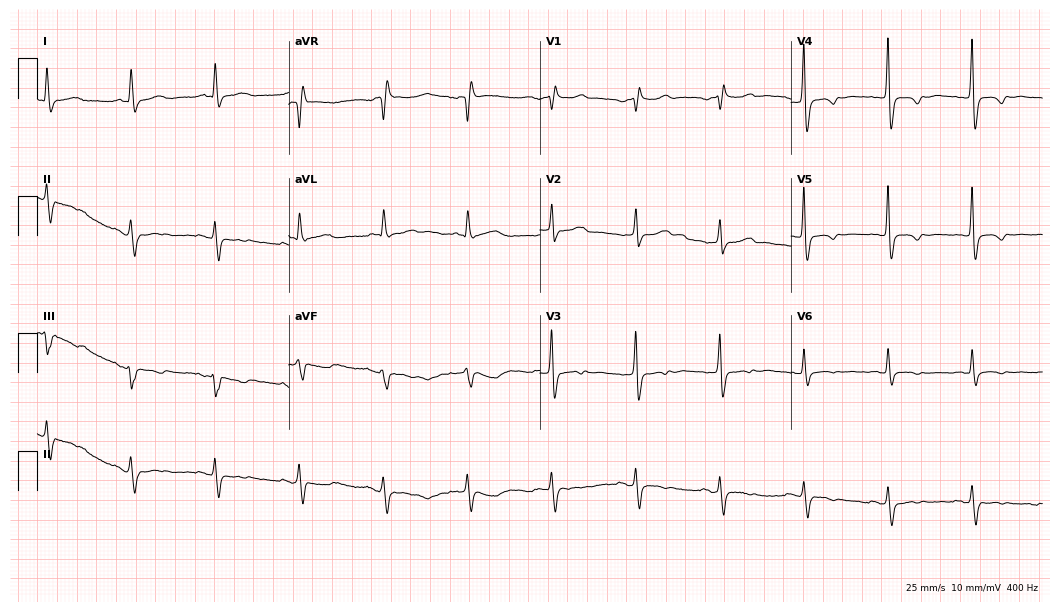
Resting 12-lead electrocardiogram (10.2-second recording at 400 Hz). Patient: an 85-year-old female. None of these six findings is recorded: first-degree AV block, right bundle branch block, left bundle branch block, sinus bradycardia, atrial fibrillation, sinus tachycardia. Findings outside these six are not listed.